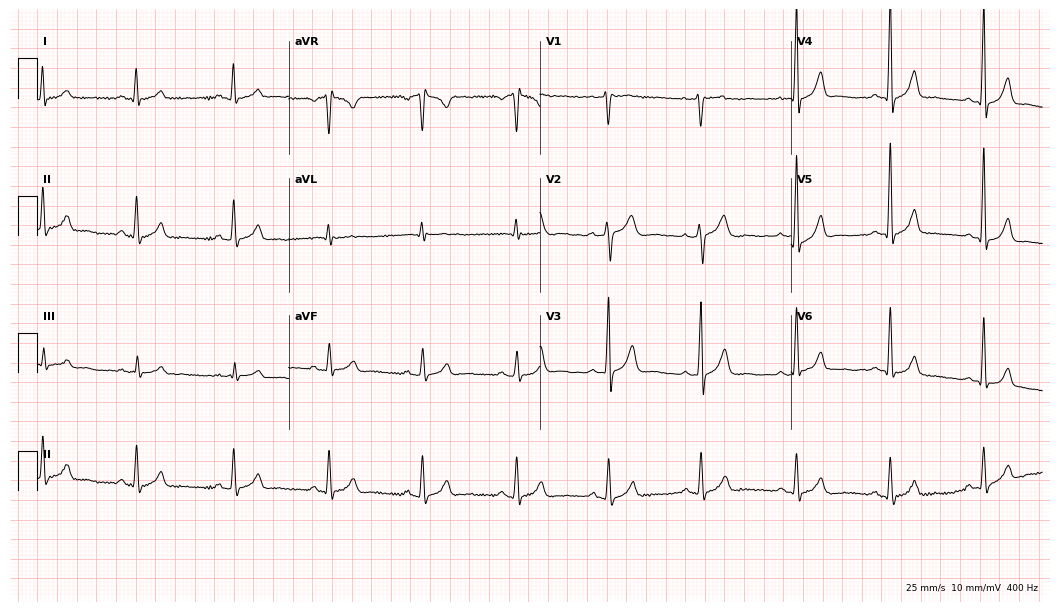
Resting 12-lead electrocardiogram (10.2-second recording at 400 Hz). Patient: a 36-year-old male. Read as a normal ECG.